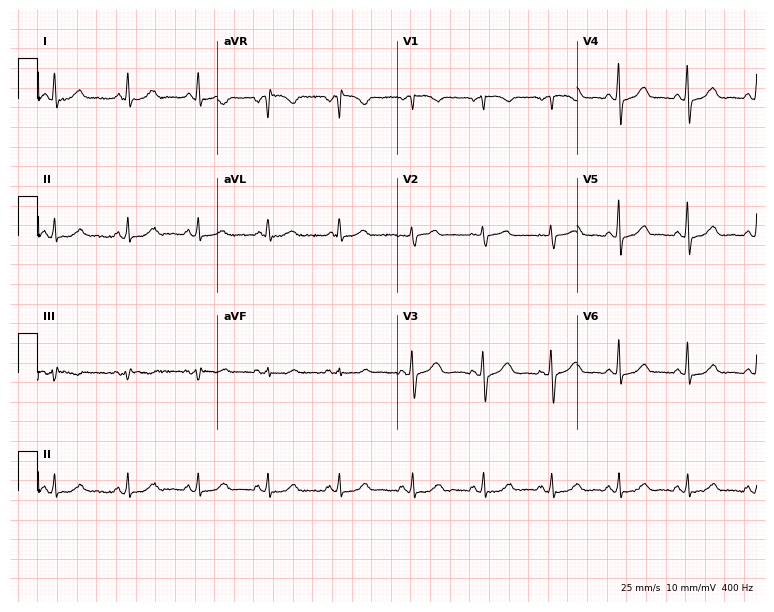
Electrocardiogram, a 75-year-old female. Overall reading on record: normal ECG.